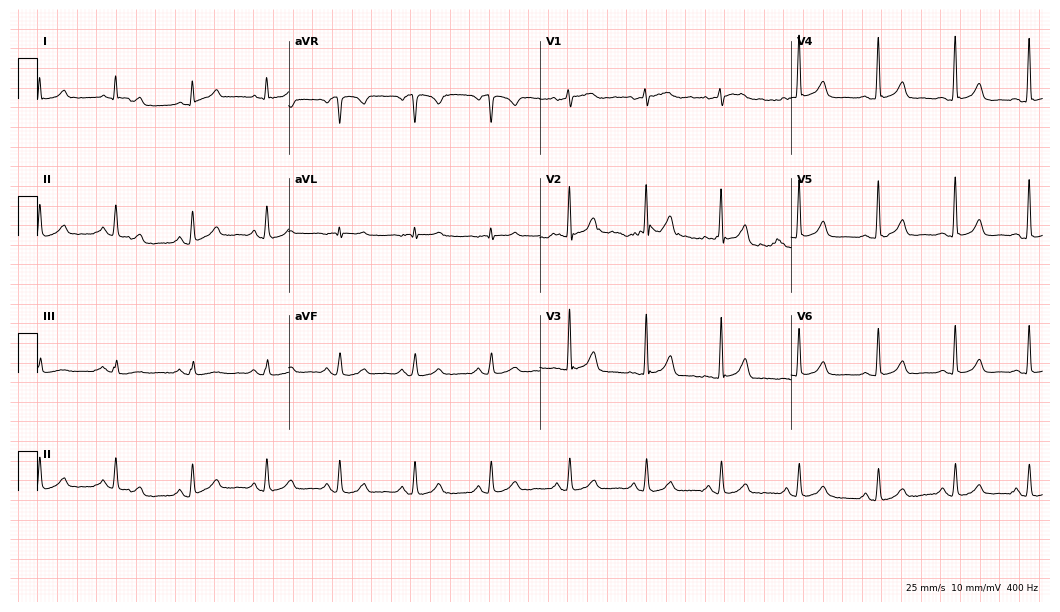
12-lead ECG from a female patient, 72 years old (10.2-second recording at 400 Hz). Recorded interpretation: within normal limits.